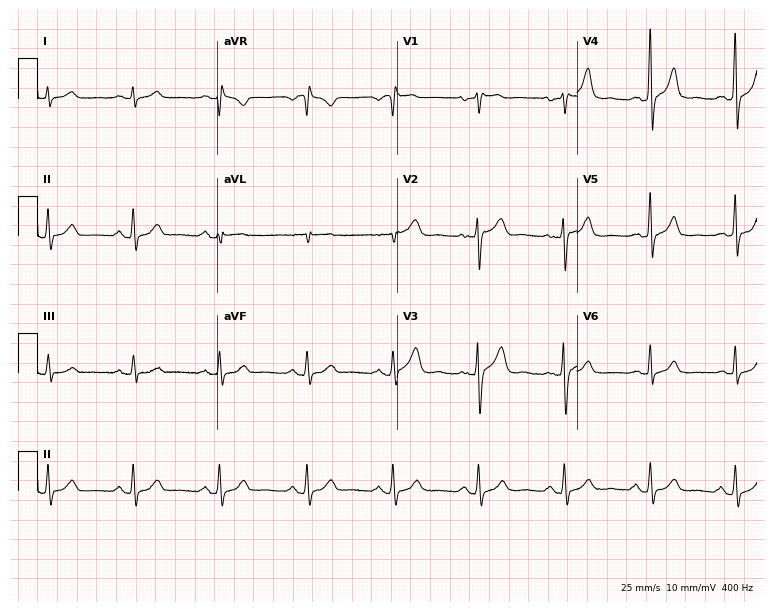
ECG — a male, 43 years old. Labelled as a normal ECG.